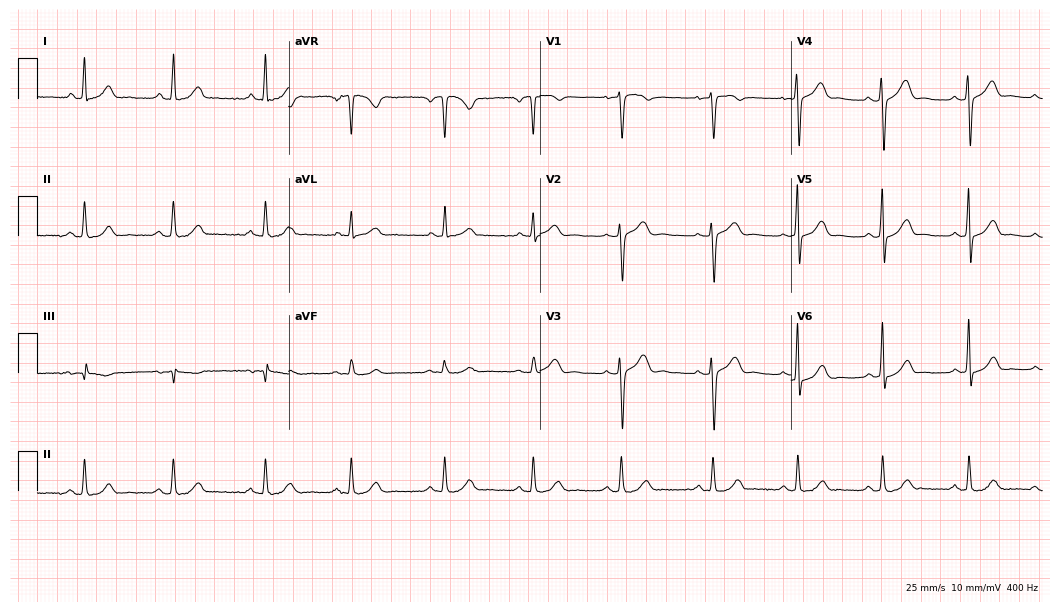
Resting 12-lead electrocardiogram. Patient: a 39-year-old female. None of these six findings is recorded: first-degree AV block, right bundle branch block, left bundle branch block, sinus bradycardia, atrial fibrillation, sinus tachycardia. Findings outside these six are not listed.